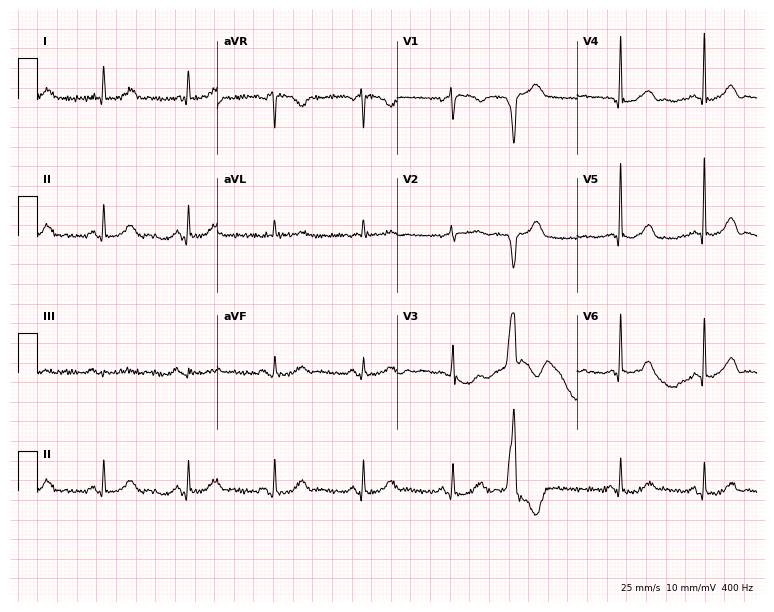
12-lead ECG from an 81-year-old woman (7.3-second recording at 400 Hz). Recorded interpretation: within normal limits.